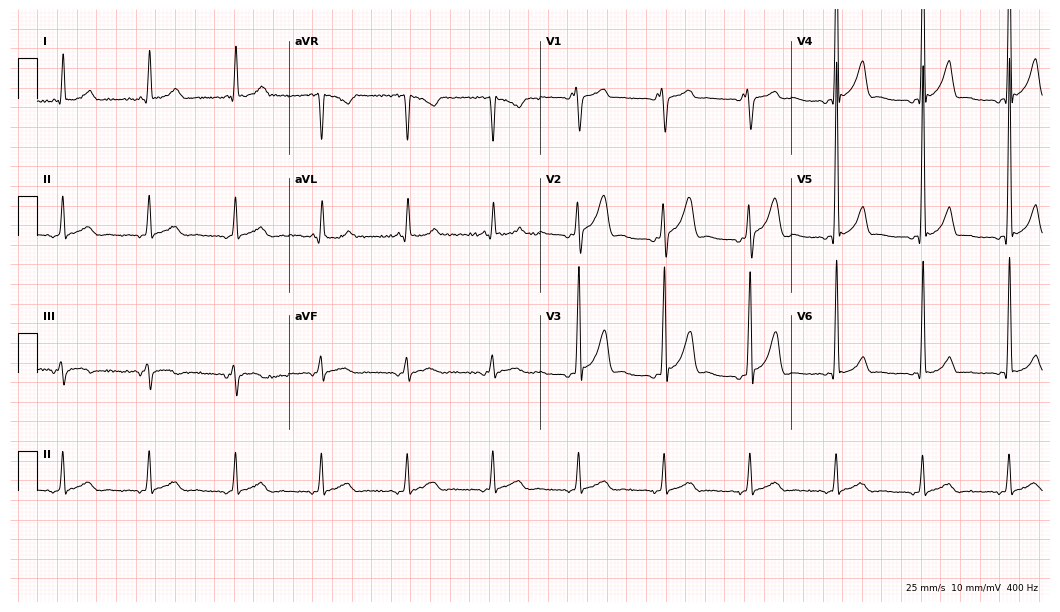
Resting 12-lead electrocardiogram. Patient: a man, 66 years old. None of these six findings is recorded: first-degree AV block, right bundle branch block, left bundle branch block, sinus bradycardia, atrial fibrillation, sinus tachycardia.